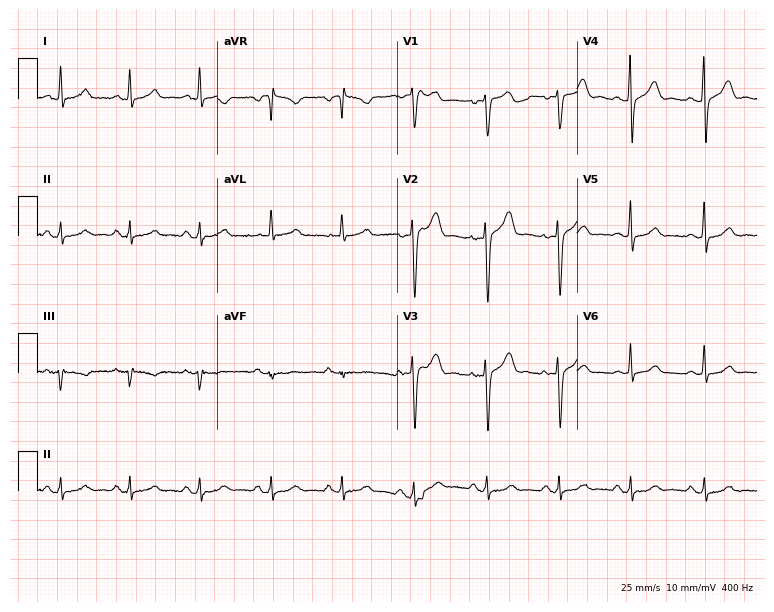
ECG (7.3-second recording at 400 Hz) — a man, 61 years old. Labelled as a normal ECG.